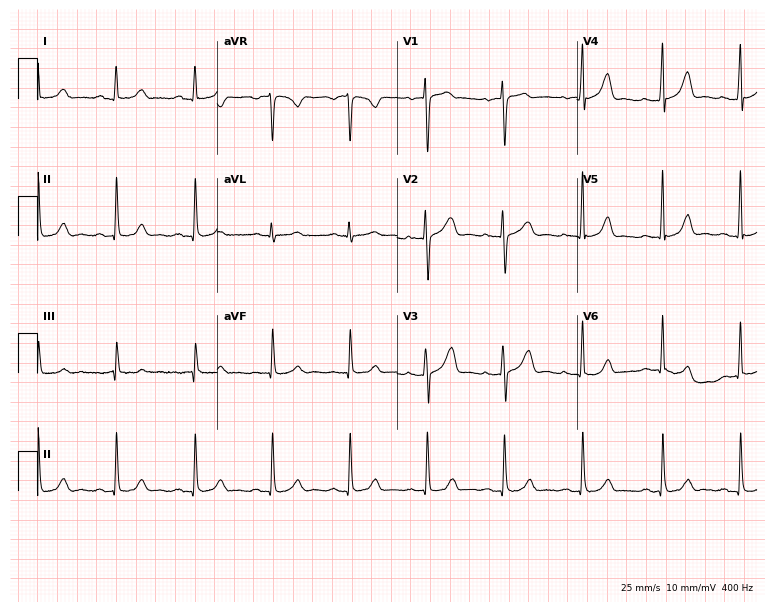
Resting 12-lead electrocardiogram. Patient: a 28-year-old female. Read as a normal ECG.